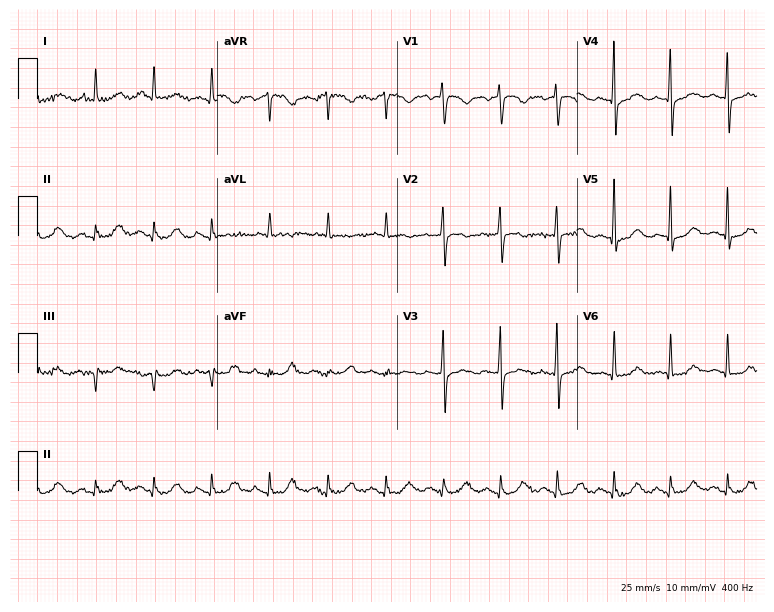
ECG — a female patient, 76 years old. Screened for six findings — first-degree AV block, right bundle branch block, left bundle branch block, sinus bradycardia, atrial fibrillation, sinus tachycardia — none is recorded. Findings outside these six are not listed.